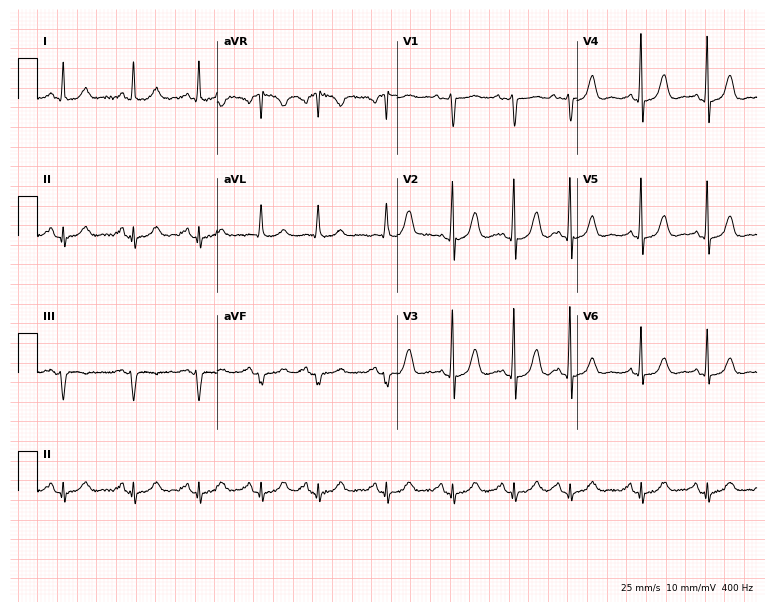
12-lead ECG from a female, 84 years old. Screened for six findings — first-degree AV block, right bundle branch block (RBBB), left bundle branch block (LBBB), sinus bradycardia, atrial fibrillation (AF), sinus tachycardia — none is recorded.